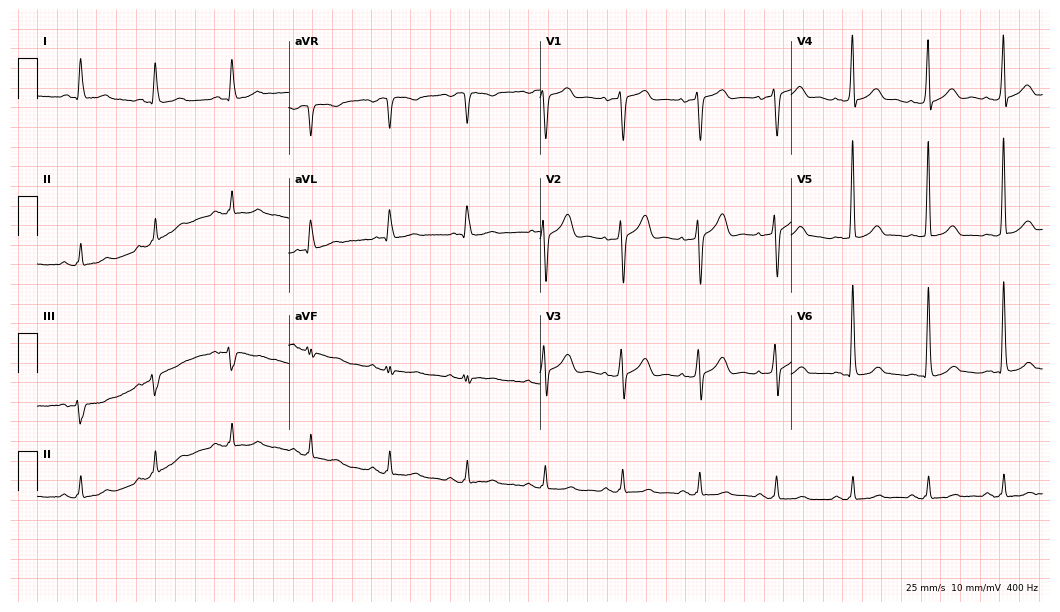
12-lead ECG from a 78-year-old man (10.2-second recording at 400 Hz). Recorded interpretation: within normal limits.